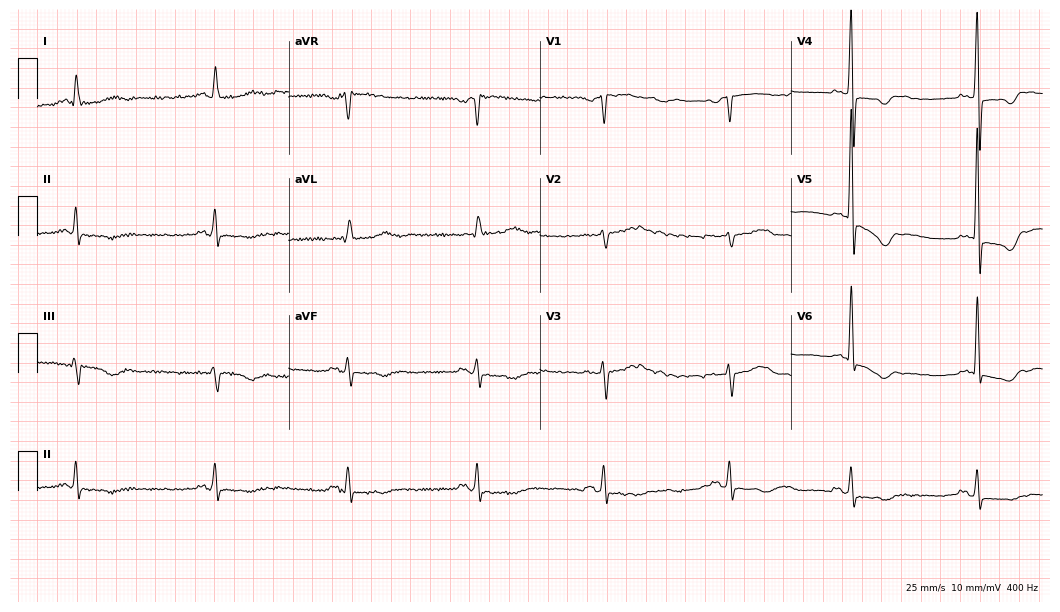
Electrocardiogram (10.2-second recording at 400 Hz), a male, 61 years old. Of the six screened findings (first-degree AV block, right bundle branch block (RBBB), left bundle branch block (LBBB), sinus bradycardia, atrial fibrillation (AF), sinus tachycardia), none is recorded.